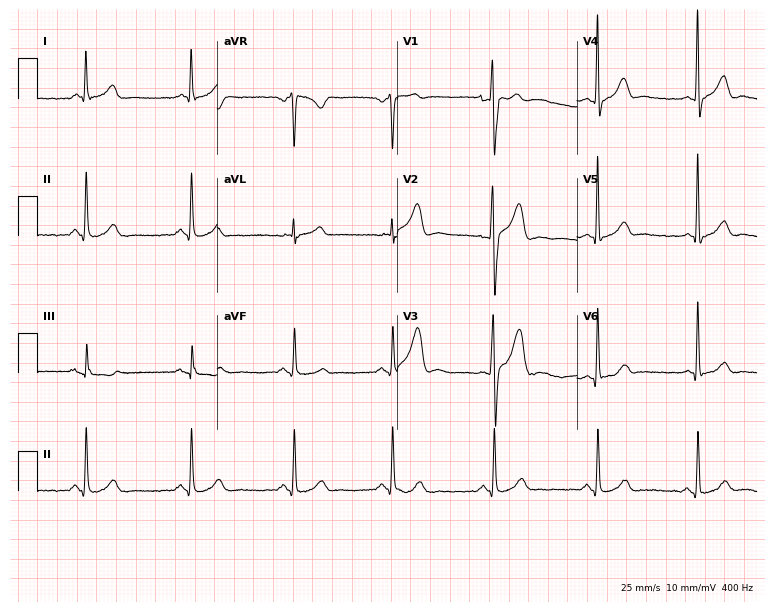
Electrocardiogram, a 25-year-old male. Overall reading on record: normal ECG.